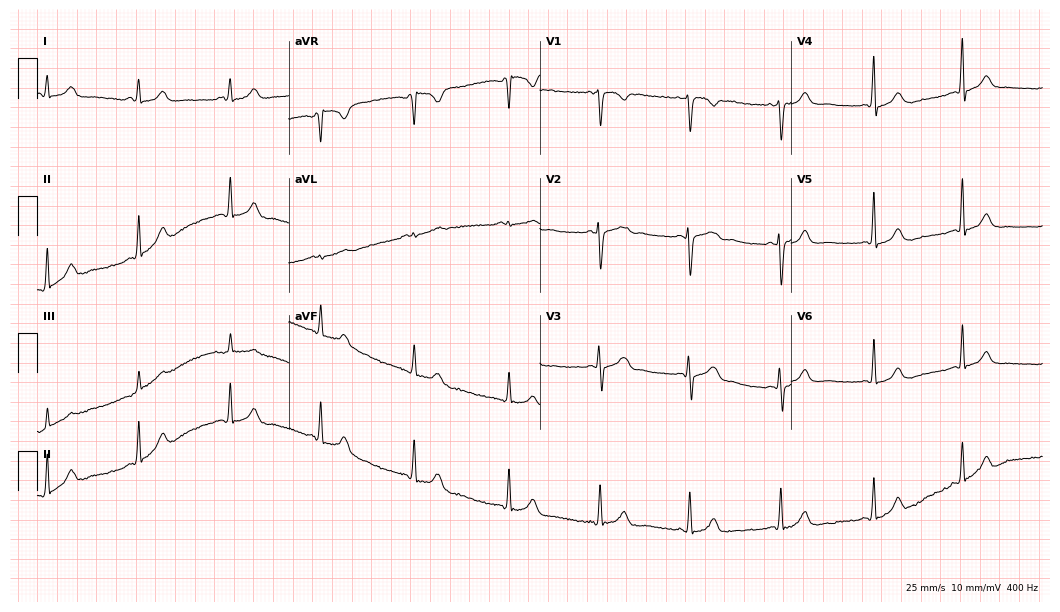
12-lead ECG from an 18-year-old female. Labelled as a normal ECG.